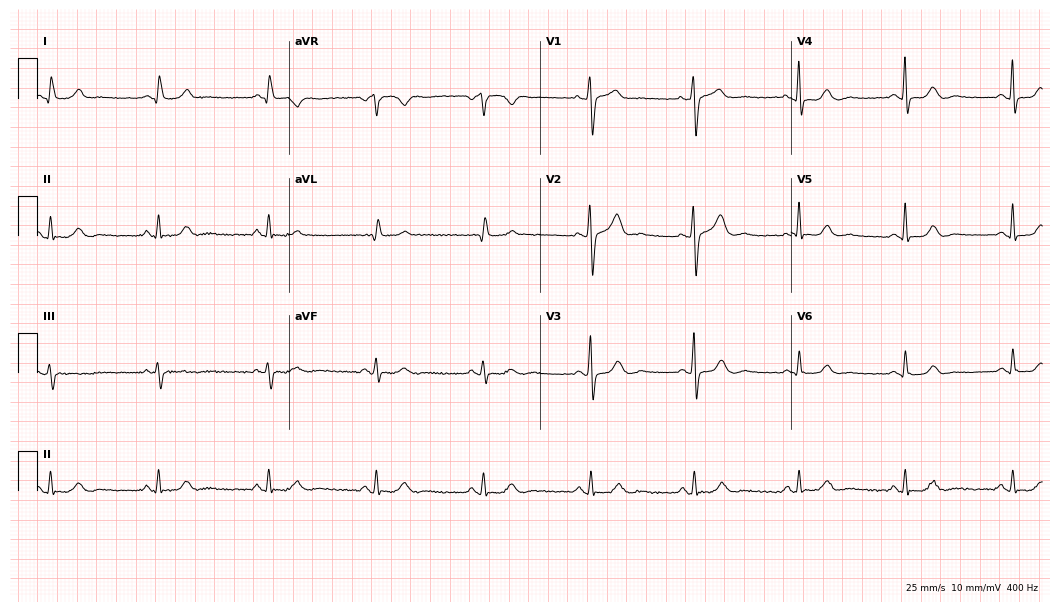
12-lead ECG from a female, 57 years old (10.2-second recording at 400 Hz). Recorded interpretation: within normal limits.